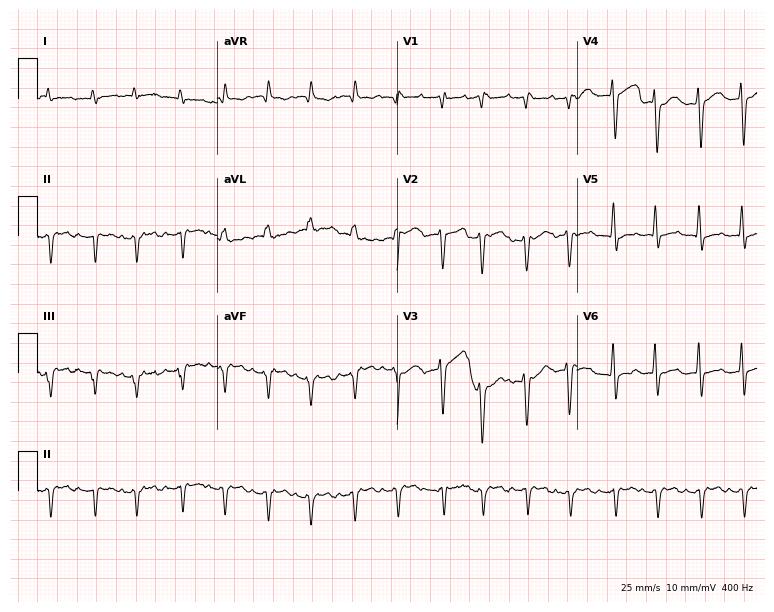
Electrocardiogram (7.3-second recording at 400 Hz), a male patient, 78 years old. Interpretation includes sinus tachycardia (a sinus rate of 100 beats per minute or more).